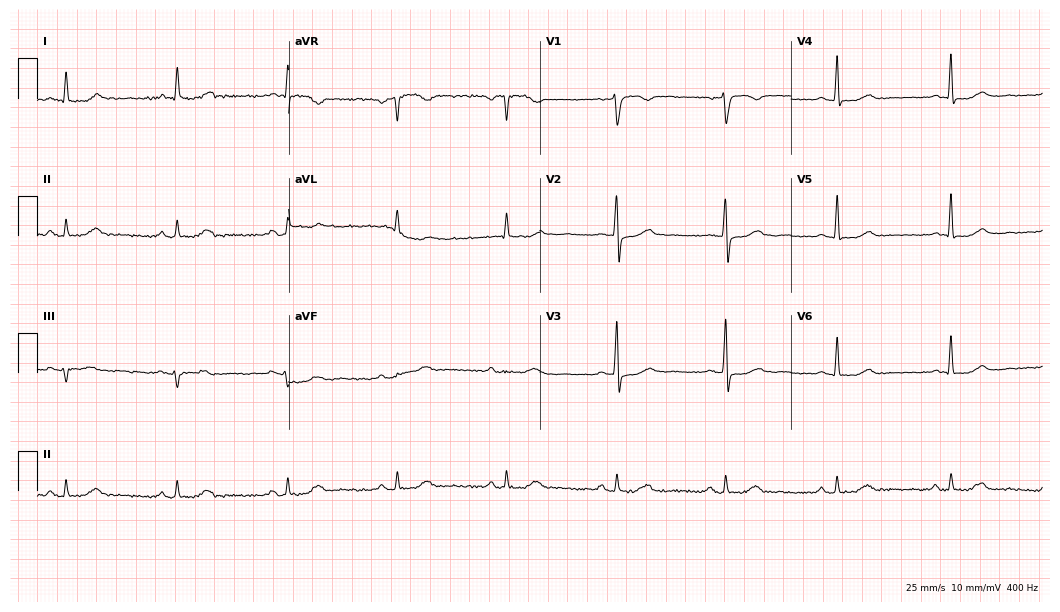
Standard 12-lead ECG recorded from a female, 63 years old. None of these six findings is recorded: first-degree AV block, right bundle branch block (RBBB), left bundle branch block (LBBB), sinus bradycardia, atrial fibrillation (AF), sinus tachycardia.